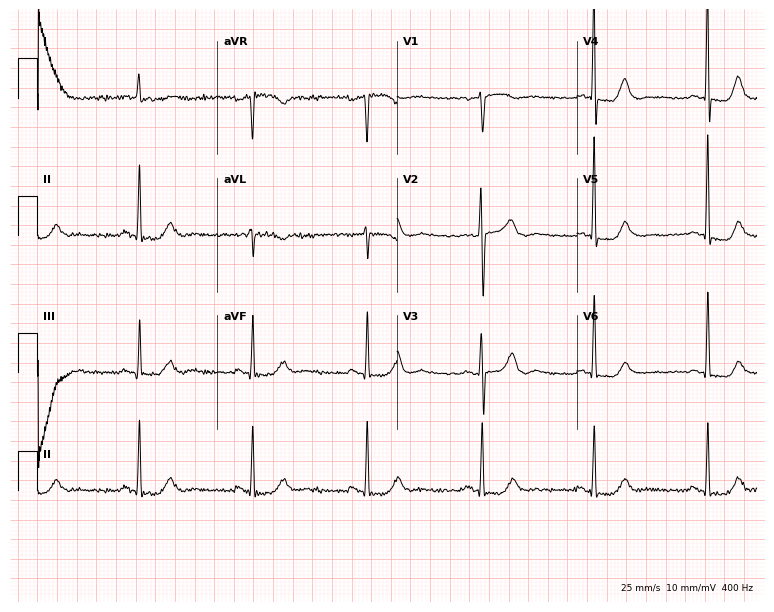
12-lead ECG (7.3-second recording at 400 Hz) from a 68-year-old female. Screened for six findings — first-degree AV block, right bundle branch block, left bundle branch block, sinus bradycardia, atrial fibrillation, sinus tachycardia — none is recorded.